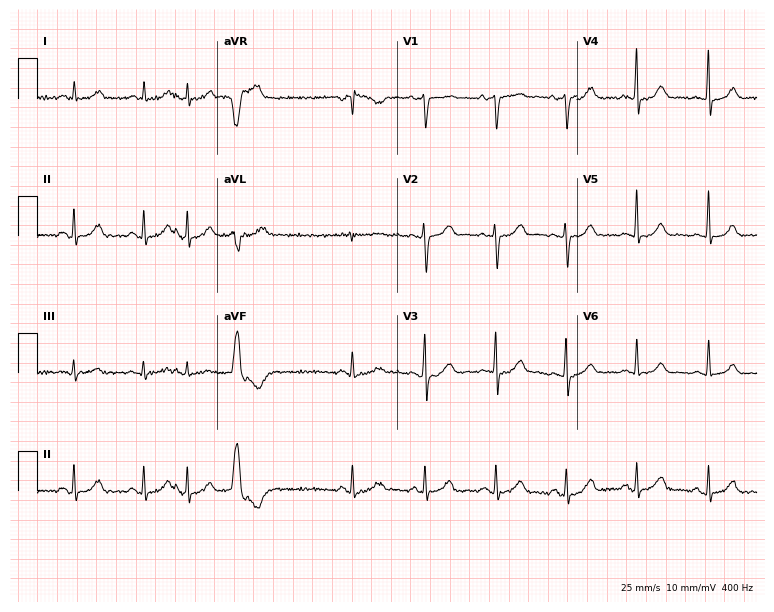
Standard 12-lead ECG recorded from a woman, 42 years old (7.3-second recording at 400 Hz). None of these six findings is recorded: first-degree AV block, right bundle branch block (RBBB), left bundle branch block (LBBB), sinus bradycardia, atrial fibrillation (AF), sinus tachycardia. Other findings, if any, are not listed.